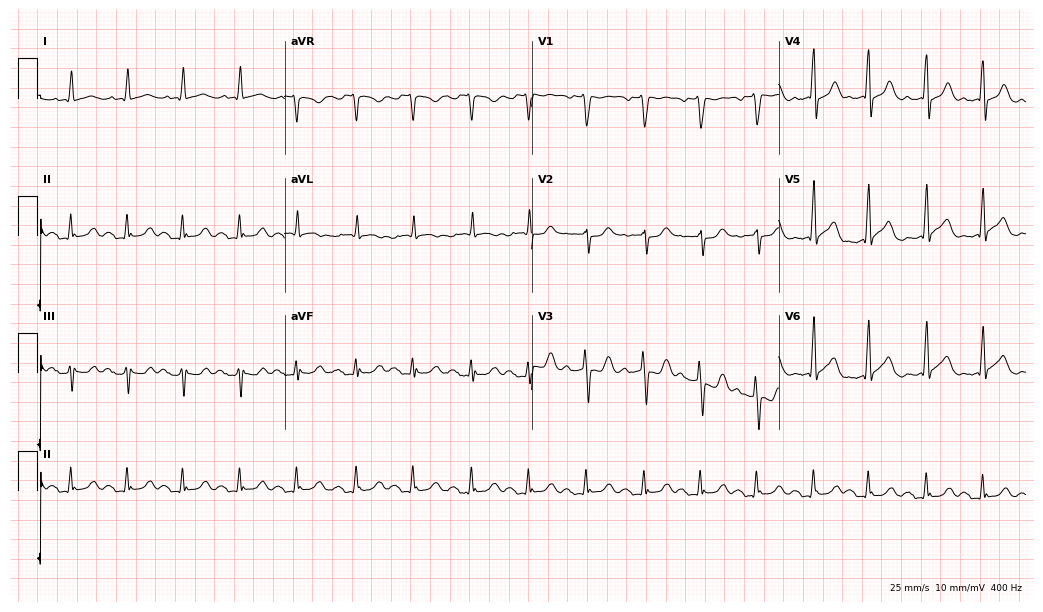
ECG (10.1-second recording at 400 Hz) — a male, 70 years old. Findings include sinus tachycardia (a sinus rate of 100 beats per minute or more).